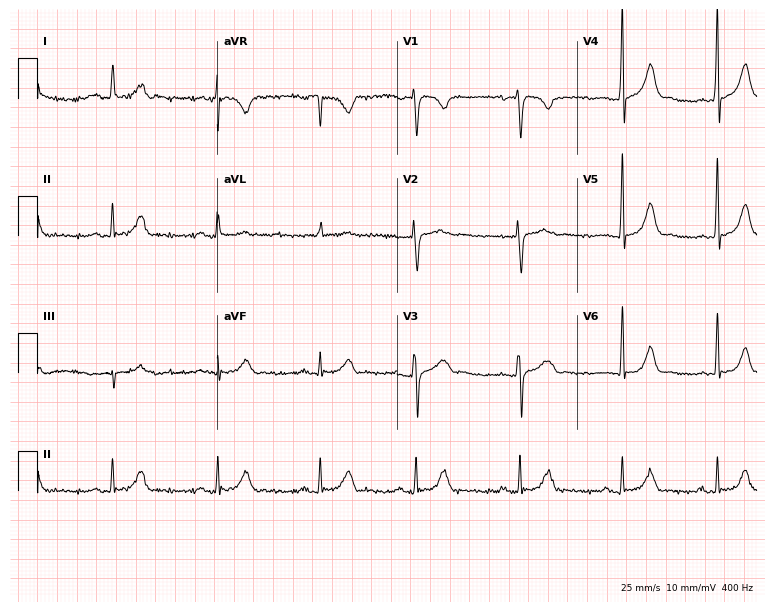
Standard 12-lead ECG recorded from a 52-year-old female (7.3-second recording at 400 Hz). Read as a normal ECG.